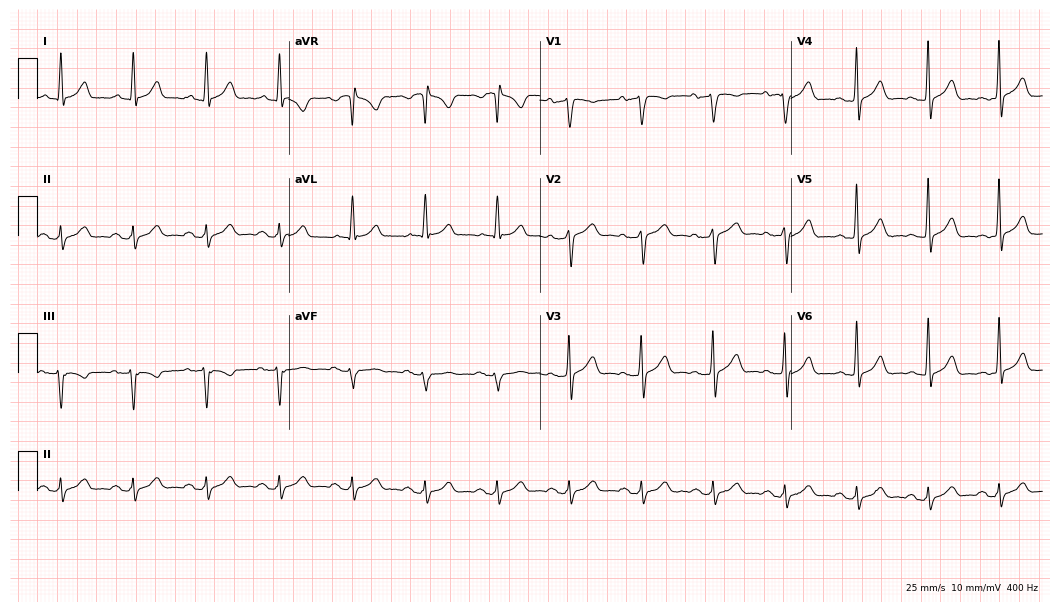
12-lead ECG (10.2-second recording at 400 Hz) from a man, 85 years old. Screened for six findings — first-degree AV block, right bundle branch block, left bundle branch block, sinus bradycardia, atrial fibrillation, sinus tachycardia — none is recorded. Only these six findings were labelled.